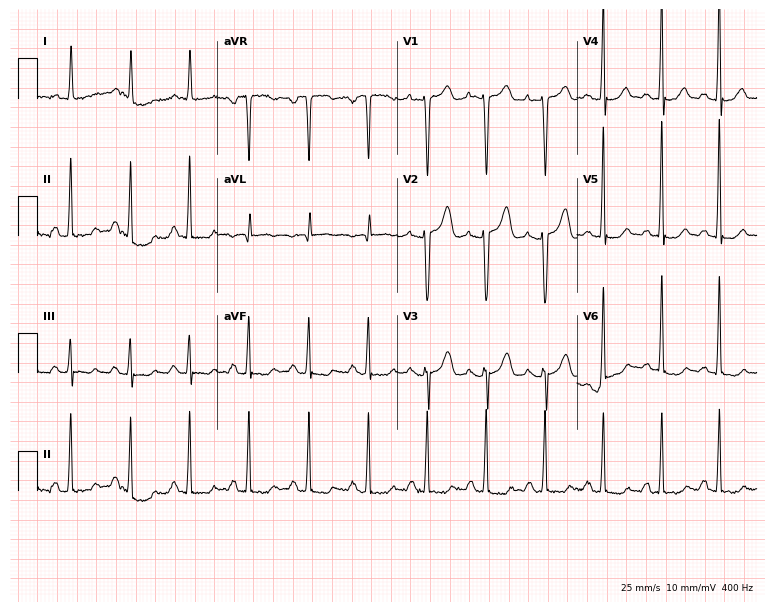
12-lead ECG from a female, 33 years old. Findings include sinus tachycardia (a sinus rate of 100 beats per minute or more).